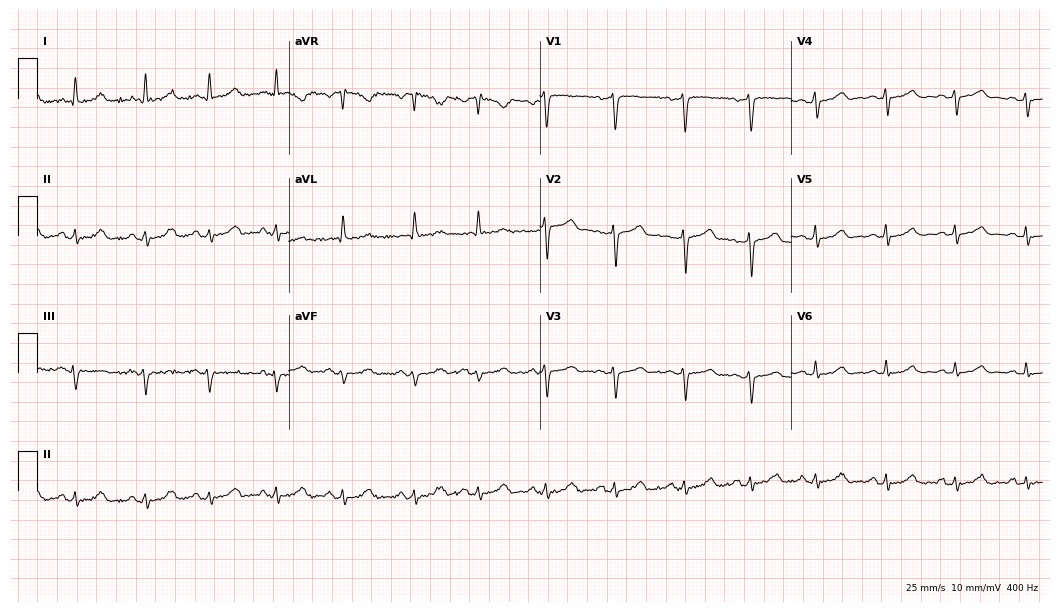
Electrocardiogram, a woman, 51 years old. Overall reading on record: normal ECG.